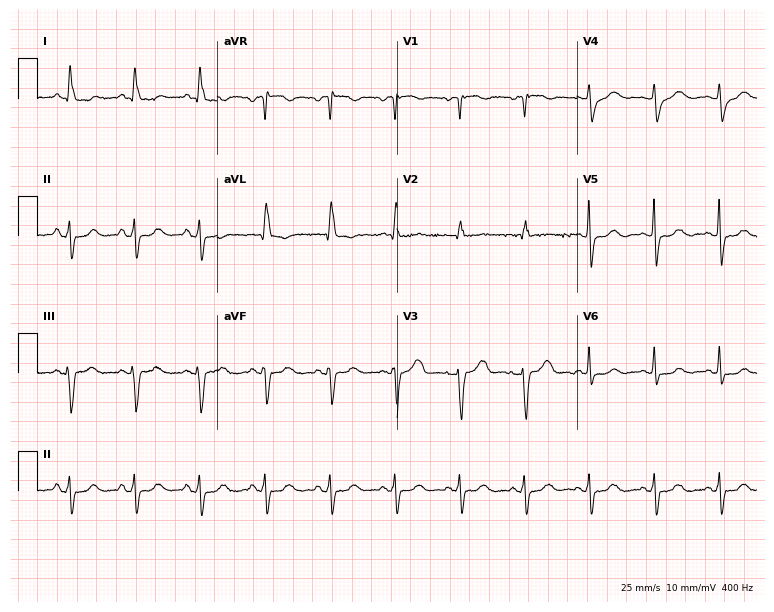
Electrocardiogram, a woman, 72 years old. Of the six screened findings (first-degree AV block, right bundle branch block, left bundle branch block, sinus bradycardia, atrial fibrillation, sinus tachycardia), none is recorded.